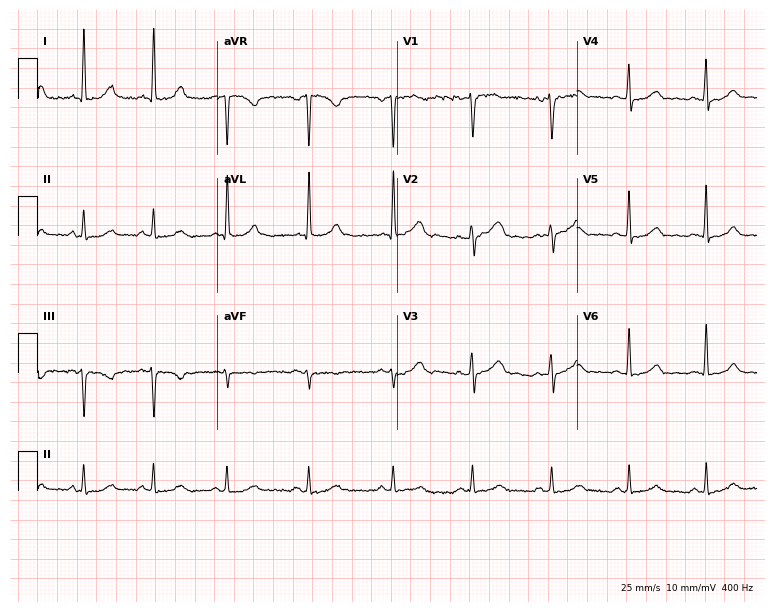
ECG (7.3-second recording at 400 Hz) — a 50-year-old female. Labelled as a normal ECG.